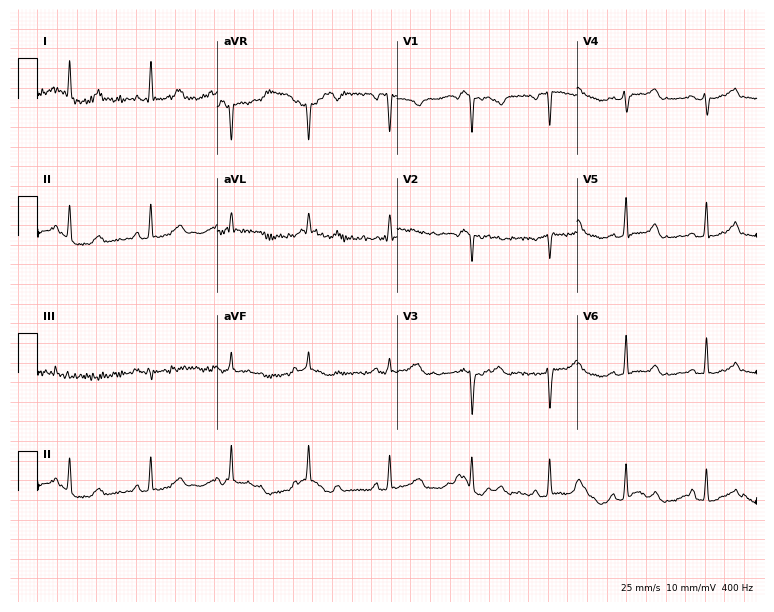
ECG — a 36-year-old woman. Screened for six findings — first-degree AV block, right bundle branch block, left bundle branch block, sinus bradycardia, atrial fibrillation, sinus tachycardia — none is recorded.